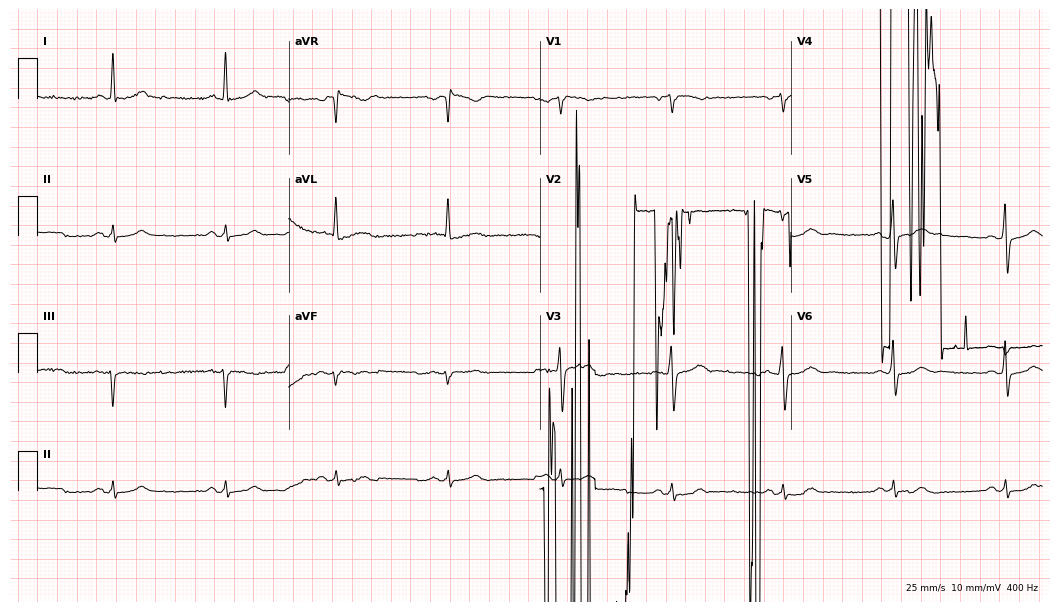
12-lead ECG from a 70-year-old man. Screened for six findings — first-degree AV block, right bundle branch block, left bundle branch block, sinus bradycardia, atrial fibrillation, sinus tachycardia — none is recorded.